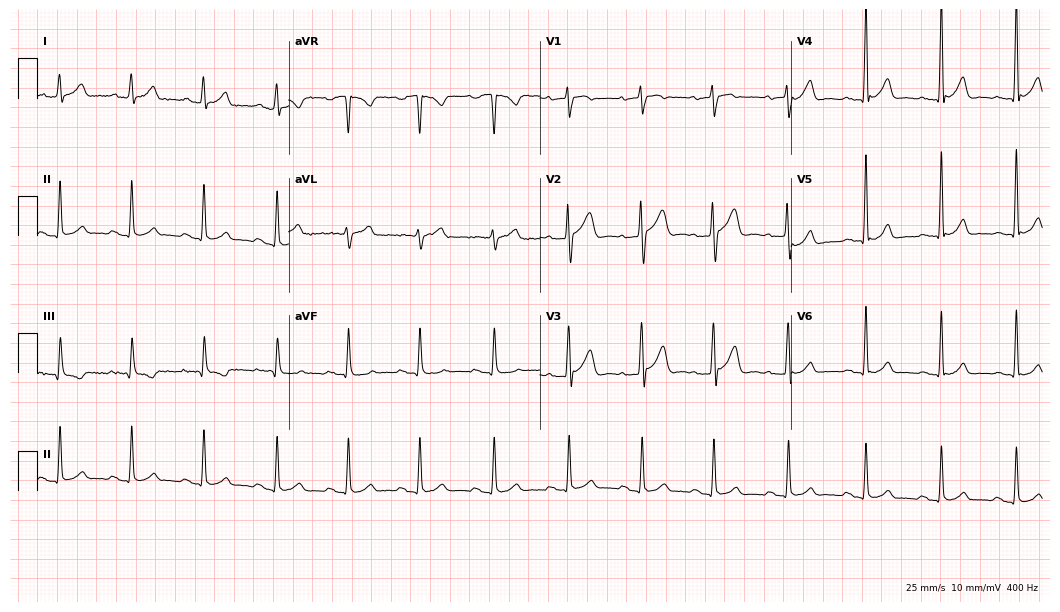
Standard 12-lead ECG recorded from a male patient, 36 years old. None of these six findings is recorded: first-degree AV block, right bundle branch block, left bundle branch block, sinus bradycardia, atrial fibrillation, sinus tachycardia. Findings outside these six are not listed.